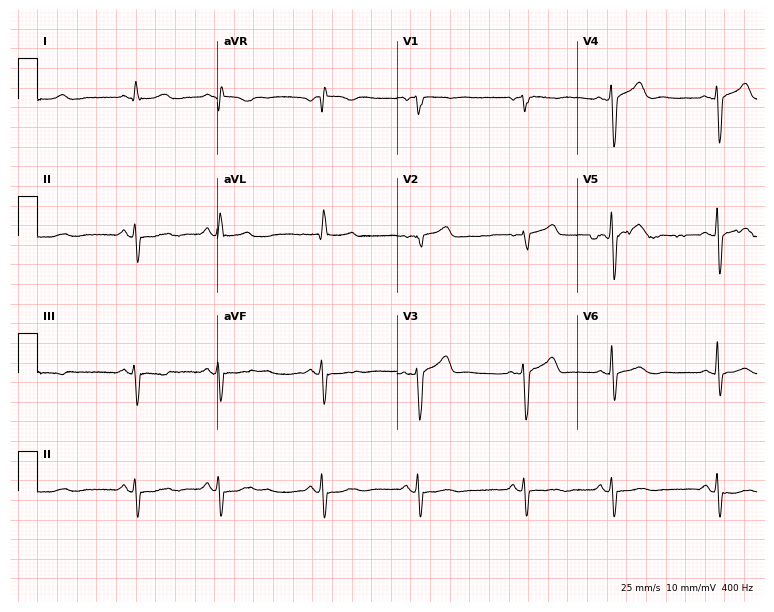
12-lead ECG from a 73-year-old male patient. No first-degree AV block, right bundle branch block, left bundle branch block, sinus bradycardia, atrial fibrillation or sinus tachycardia recorded for this tracing.